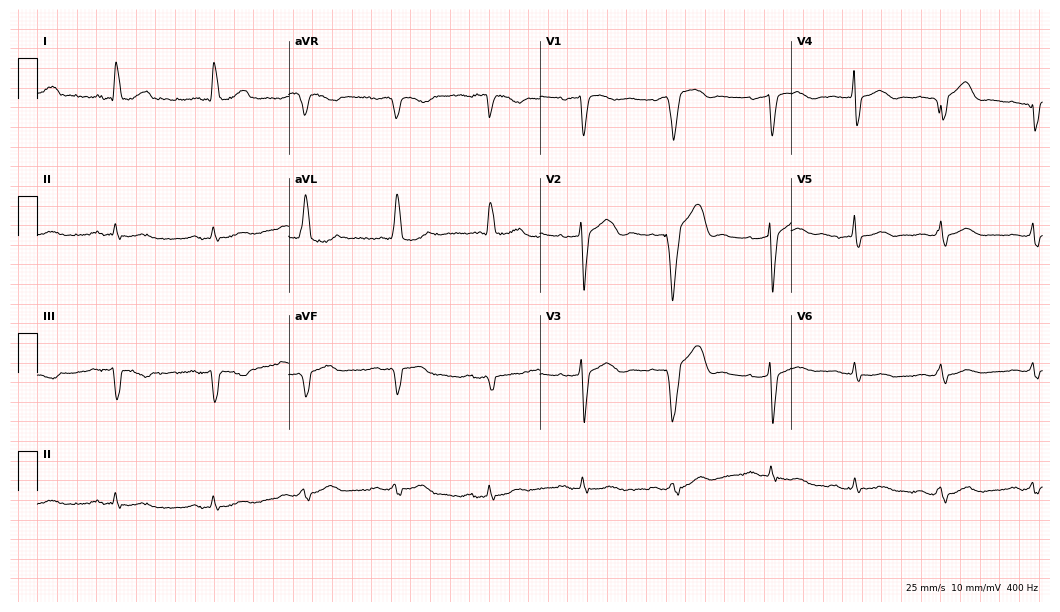
ECG (10.2-second recording at 400 Hz) — a female patient, 79 years old. Screened for six findings — first-degree AV block, right bundle branch block, left bundle branch block, sinus bradycardia, atrial fibrillation, sinus tachycardia — none is recorded. Other findings, if any, are not listed.